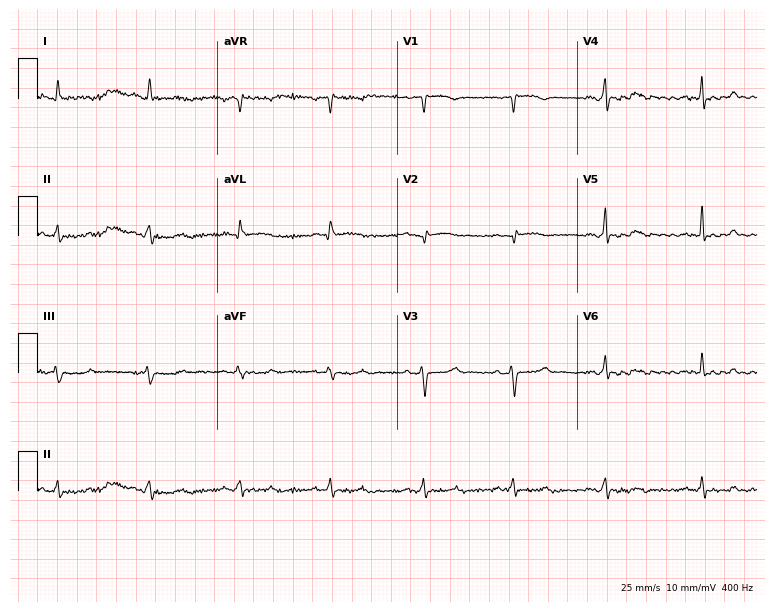
Standard 12-lead ECG recorded from a 46-year-old woman. None of these six findings is recorded: first-degree AV block, right bundle branch block (RBBB), left bundle branch block (LBBB), sinus bradycardia, atrial fibrillation (AF), sinus tachycardia.